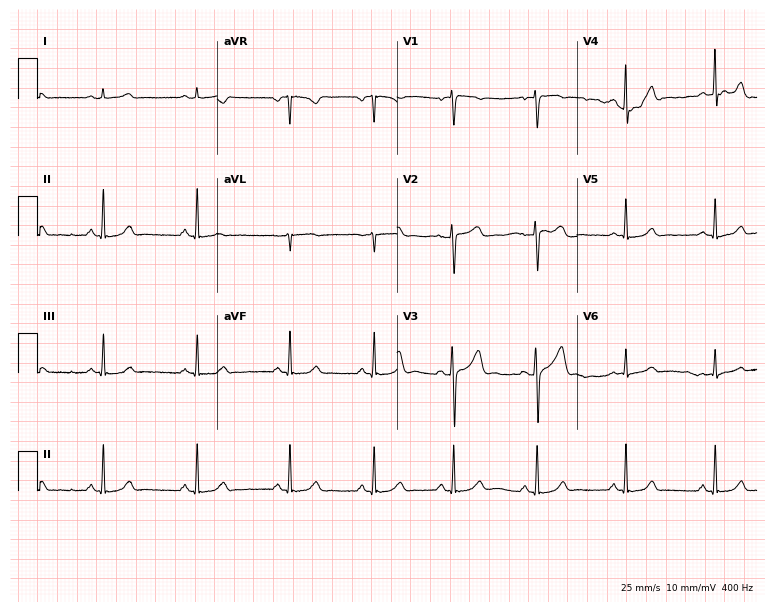
12-lead ECG from a female, 23 years old. Labelled as a normal ECG.